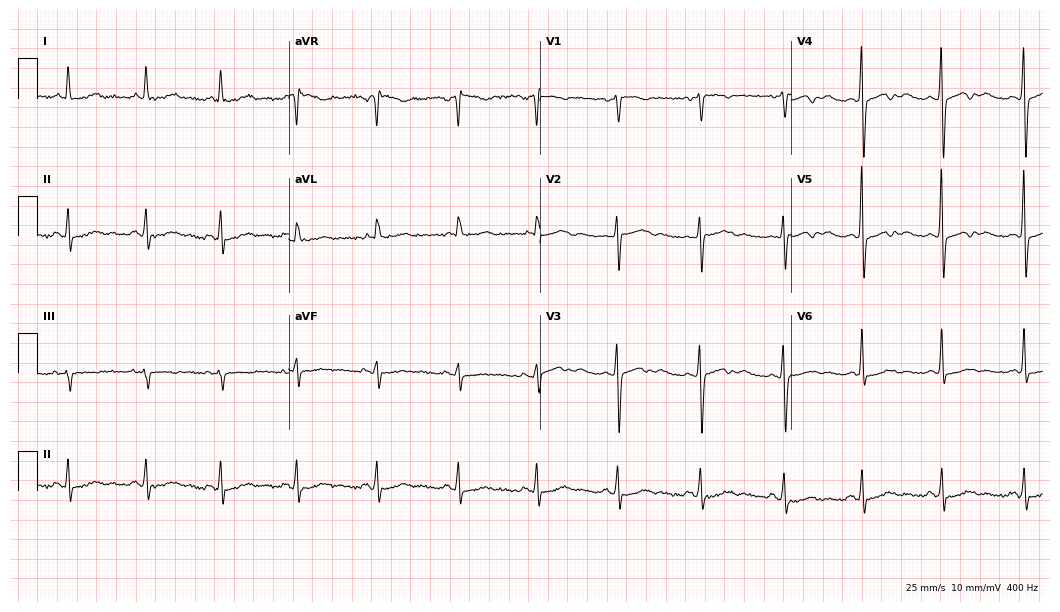
12-lead ECG (10.2-second recording at 400 Hz) from a 54-year-old female. Screened for six findings — first-degree AV block, right bundle branch block, left bundle branch block, sinus bradycardia, atrial fibrillation, sinus tachycardia — none is recorded.